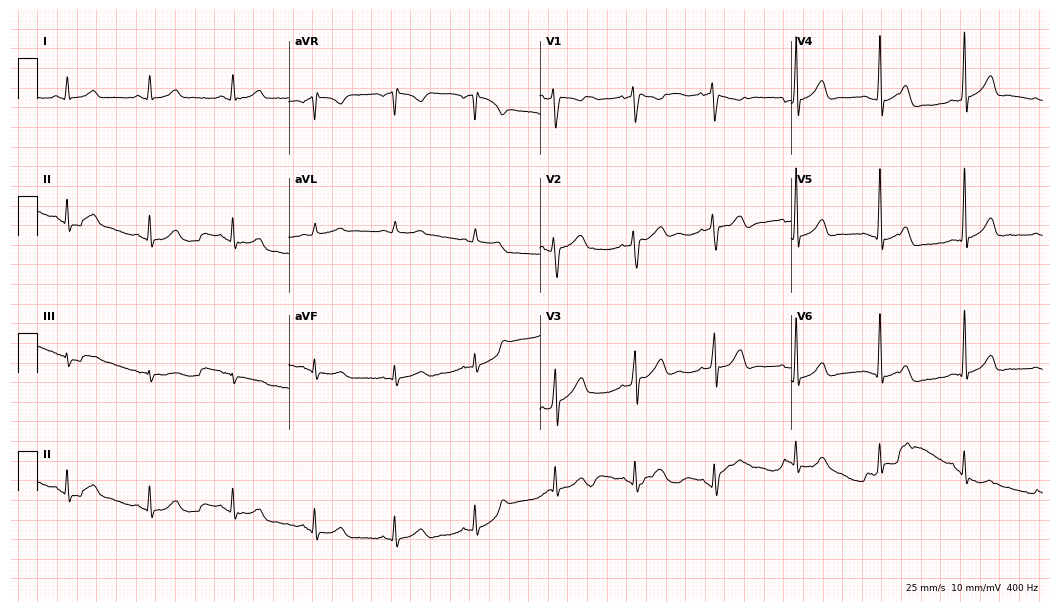
12-lead ECG (10.2-second recording at 400 Hz) from a man, 37 years old. Screened for six findings — first-degree AV block, right bundle branch block, left bundle branch block, sinus bradycardia, atrial fibrillation, sinus tachycardia — none is recorded.